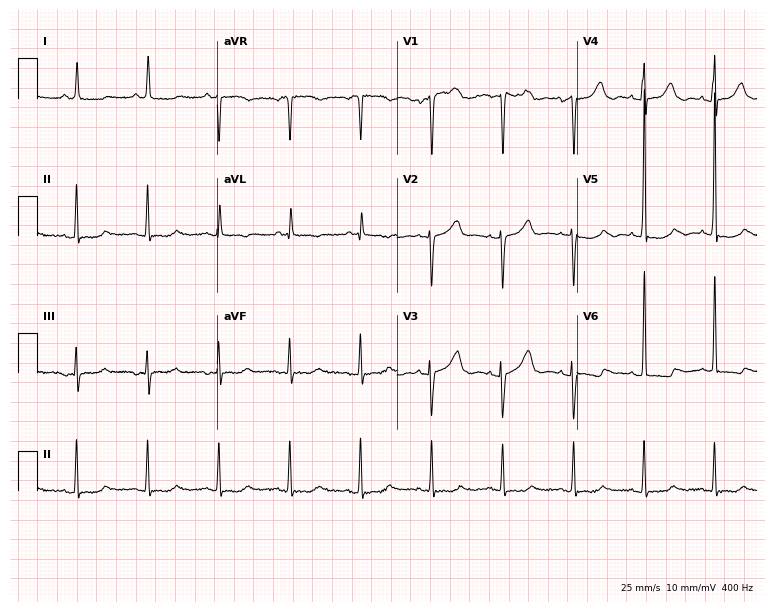
Resting 12-lead electrocardiogram (7.3-second recording at 400 Hz). Patient: a female, 79 years old. None of these six findings is recorded: first-degree AV block, right bundle branch block, left bundle branch block, sinus bradycardia, atrial fibrillation, sinus tachycardia.